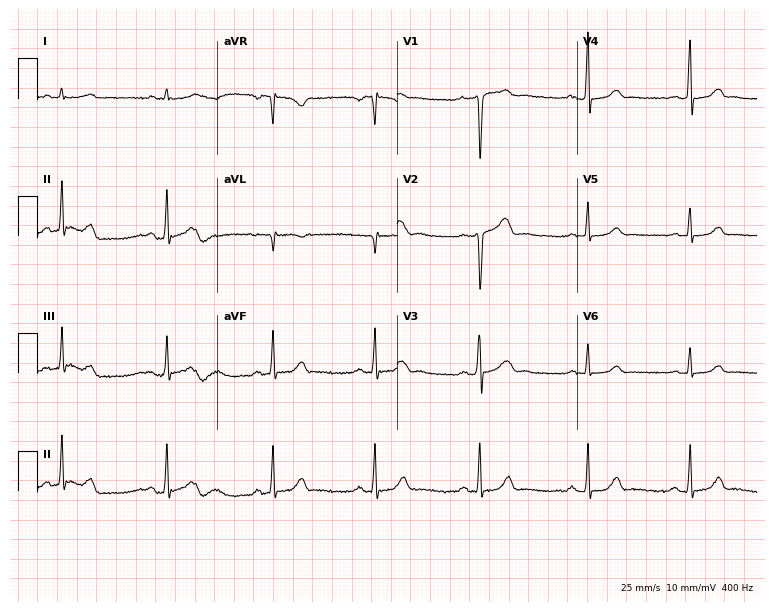
Resting 12-lead electrocardiogram. Patient: a man, 19 years old. Read as a normal ECG.